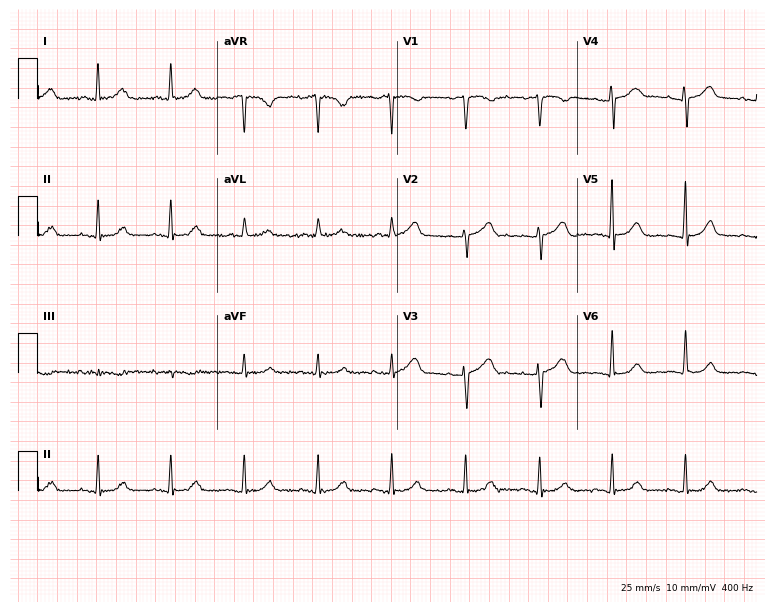
Electrocardiogram, a woman, 73 years old. Of the six screened findings (first-degree AV block, right bundle branch block, left bundle branch block, sinus bradycardia, atrial fibrillation, sinus tachycardia), none is recorded.